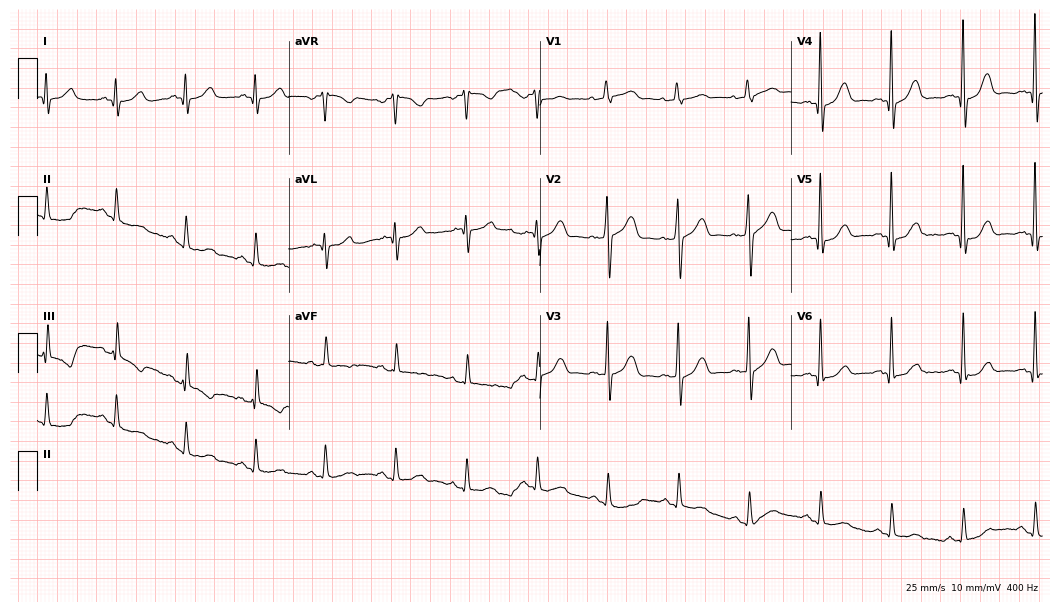
ECG — a 59-year-old male patient. Labelled as a normal ECG.